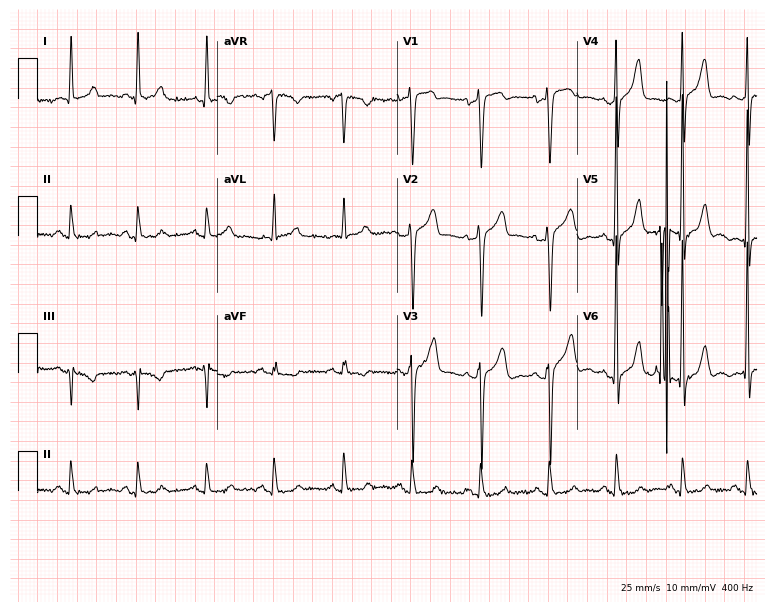
ECG (7.3-second recording at 400 Hz) — a 64-year-old male patient. Screened for six findings — first-degree AV block, right bundle branch block, left bundle branch block, sinus bradycardia, atrial fibrillation, sinus tachycardia — none is recorded.